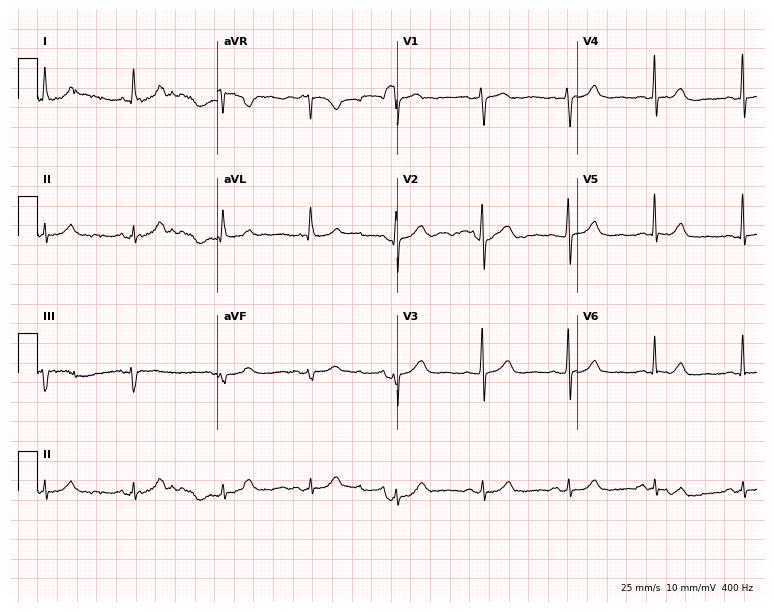
12-lead ECG from a female patient, 60 years old. Screened for six findings — first-degree AV block, right bundle branch block (RBBB), left bundle branch block (LBBB), sinus bradycardia, atrial fibrillation (AF), sinus tachycardia — none is recorded. Findings outside these six are not listed.